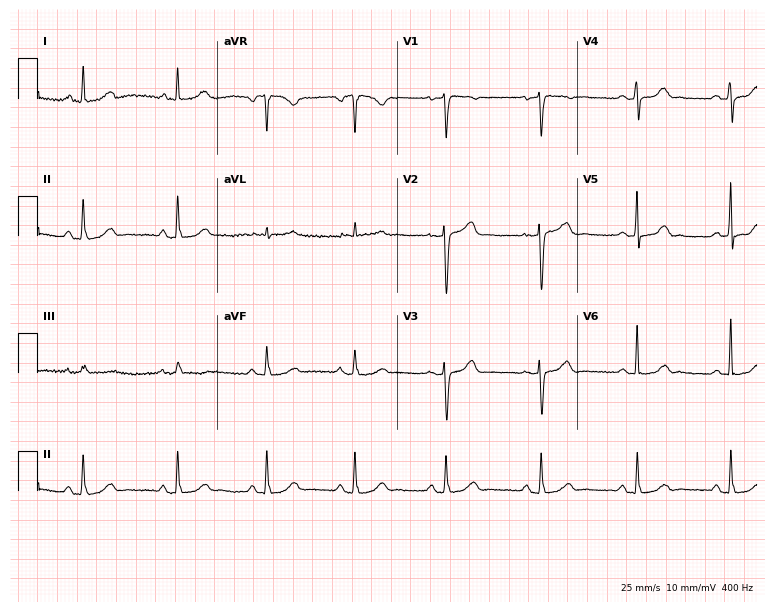
ECG (7.3-second recording at 400 Hz) — a 43-year-old woman. Screened for six findings — first-degree AV block, right bundle branch block (RBBB), left bundle branch block (LBBB), sinus bradycardia, atrial fibrillation (AF), sinus tachycardia — none is recorded.